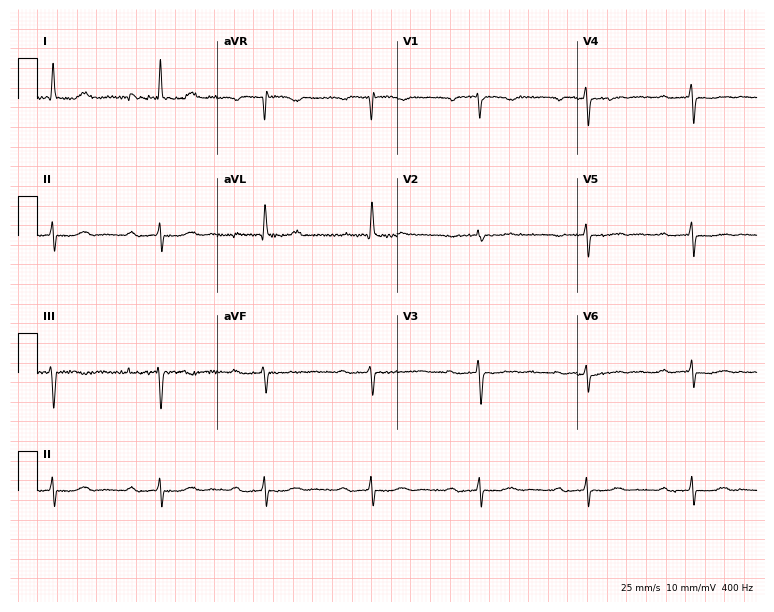
ECG — a female, 63 years old. Findings include first-degree AV block.